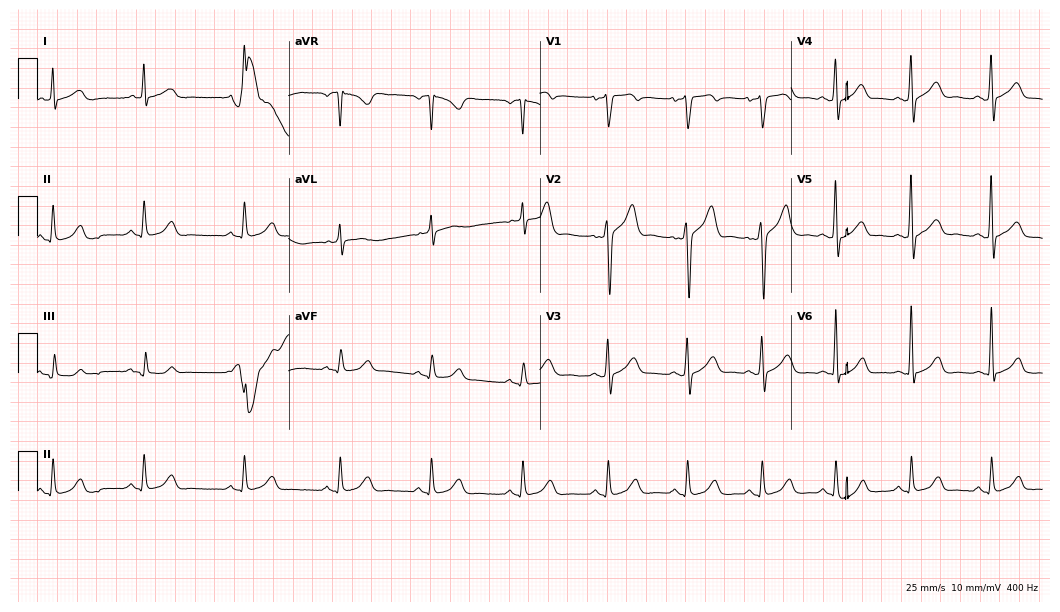
12-lead ECG (10.2-second recording at 400 Hz) from a male patient, 53 years old. Labelled as a normal ECG.